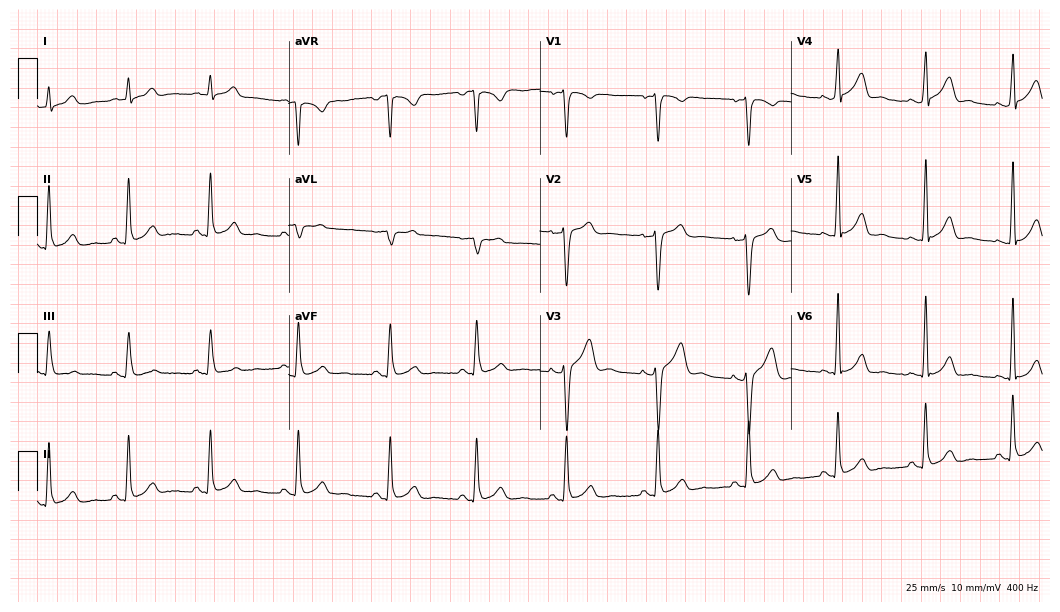
Electrocardiogram, a 34-year-old male. Of the six screened findings (first-degree AV block, right bundle branch block, left bundle branch block, sinus bradycardia, atrial fibrillation, sinus tachycardia), none is recorded. Other findings, if any, are not listed.